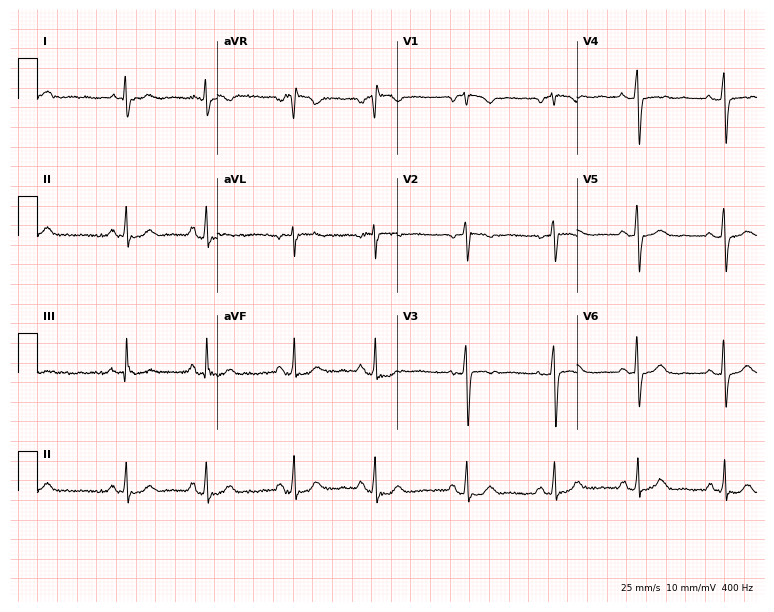
12-lead ECG from a woman, 71 years old (7.3-second recording at 400 Hz). No first-degree AV block, right bundle branch block, left bundle branch block, sinus bradycardia, atrial fibrillation or sinus tachycardia recorded for this tracing.